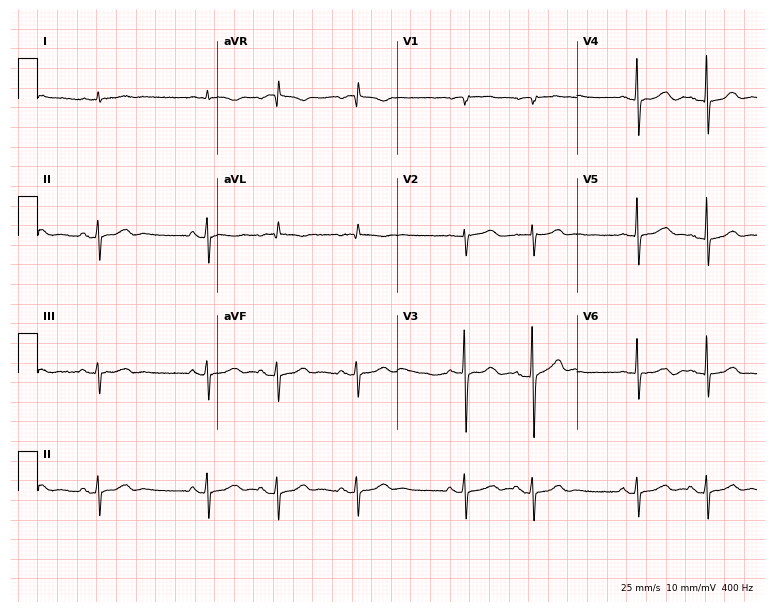
ECG — an 83-year-old male. Screened for six findings — first-degree AV block, right bundle branch block, left bundle branch block, sinus bradycardia, atrial fibrillation, sinus tachycardia — none is recorded. Only these six findings were labelled.